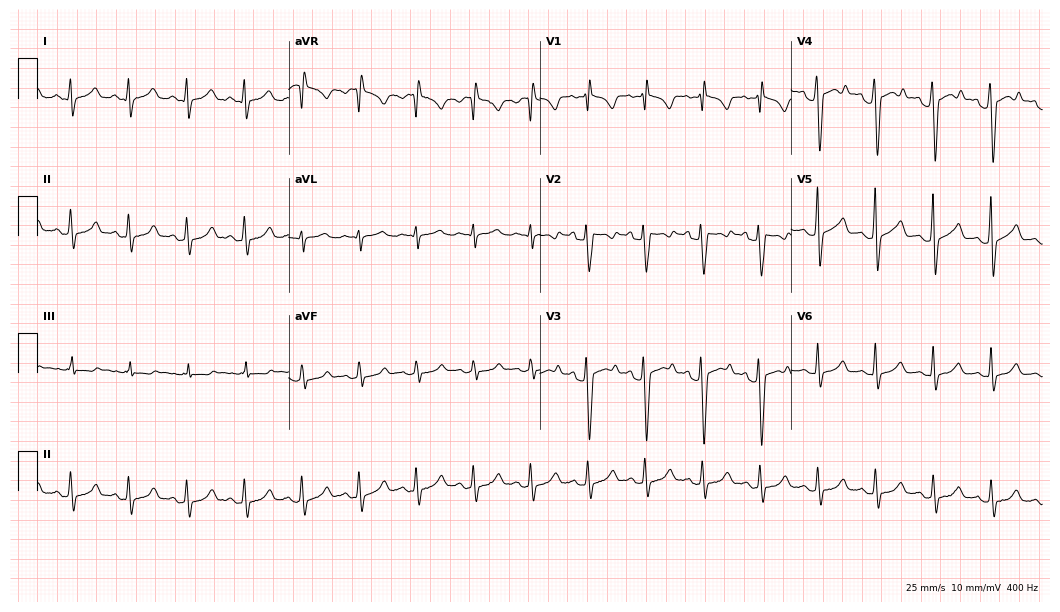
Resting 12-lead electrocardiogram. Patient: a 42-year-old female. None of these six findings is recorded: first-degree AV block, right bundle branch block, left bundle branch block, sinus bradycardia, atrial fibrillation, sinus tachycardia.